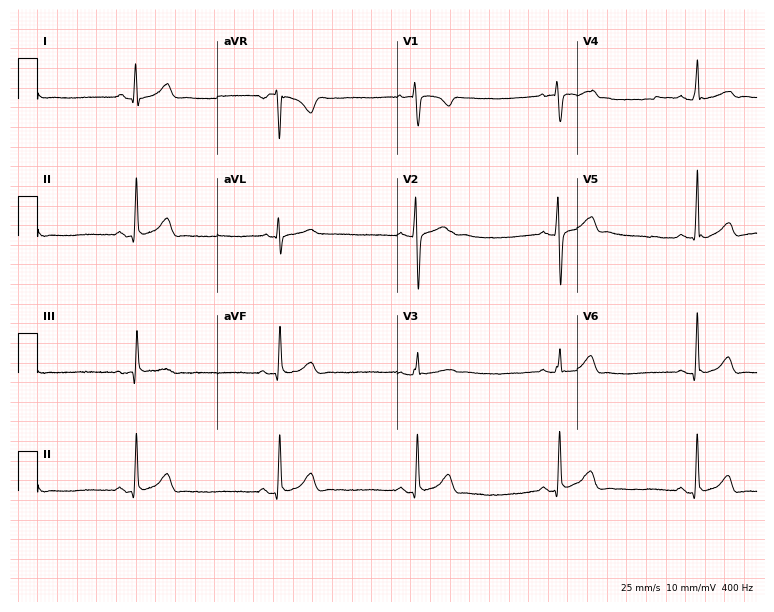
12-lead ECG from a 23-year-old female. Shows sinus bradycardia (a sinus rate of 50 beats per minute or less).